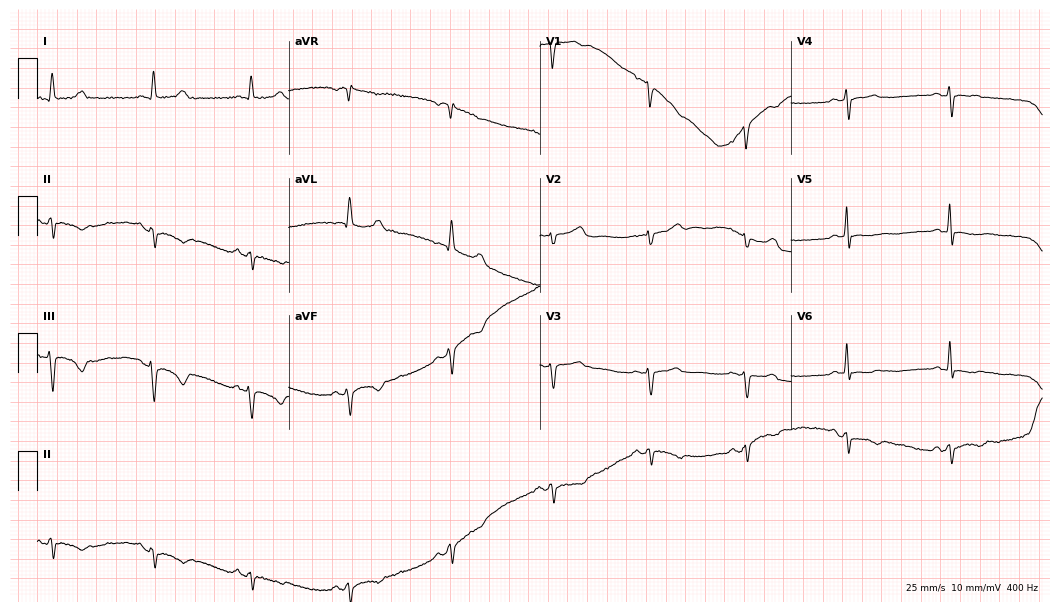
Resting 12-lead electrocardiogram (10.2-second recording at 400 Hz). Patient: a woman, 66 years old. None of these six findings is recorded: first-degree AV block, right bundle branch block, left bundle branch block, sinus bradycardia, atrial fibrillation, sinus tachycardia. Findings outside these six are not listed.